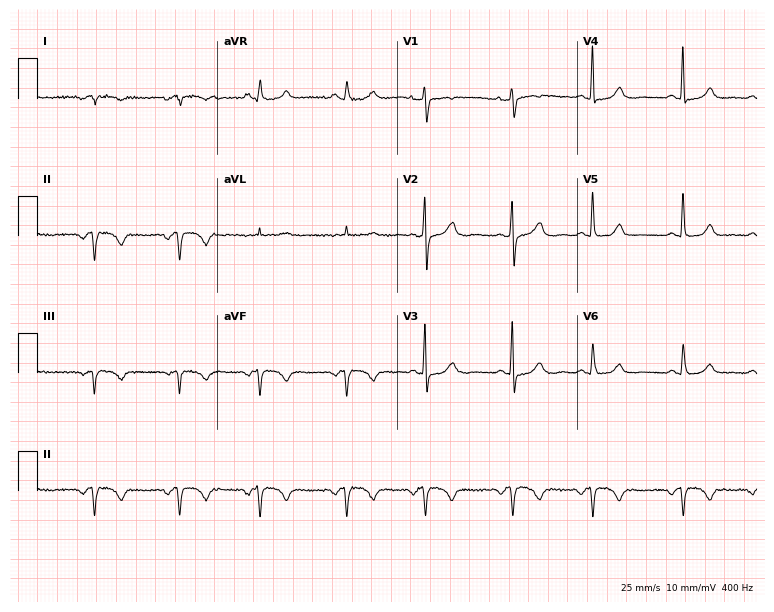
Standard 12-lead ECG recorded from an 80-year-old woman. None of these six findings is recorded: first-degree AV block, right bundle branch block, left bundle branch block, sinus bradycardia, atrial fibrillation, sinus tachycardia. Only these six findings were labelled.